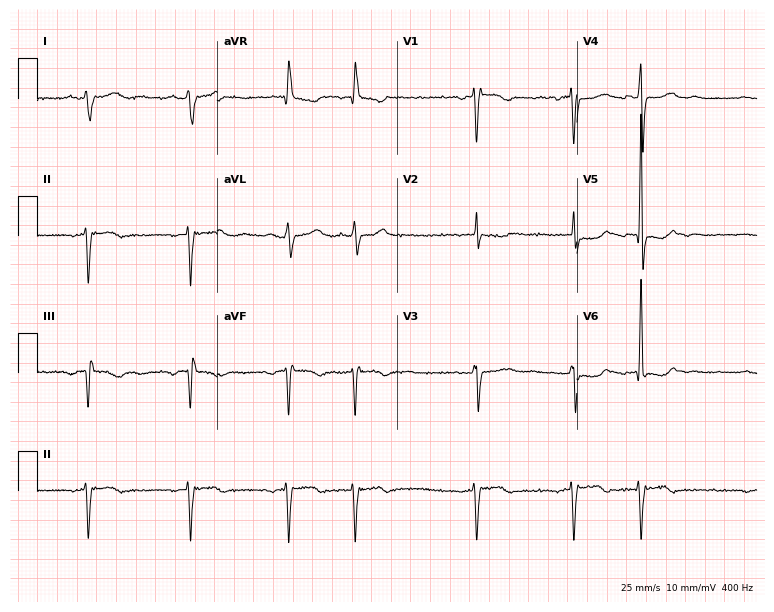
Standard 12-lead ECG recorded from a woman, 54 years old. None of these six findings is recorded: first-degree AV block, right bundle branch block (RBBB), left bundle branch block (LBBB), sinus bradycardia, atrial fibrillation (AF), sinus tachycardia.